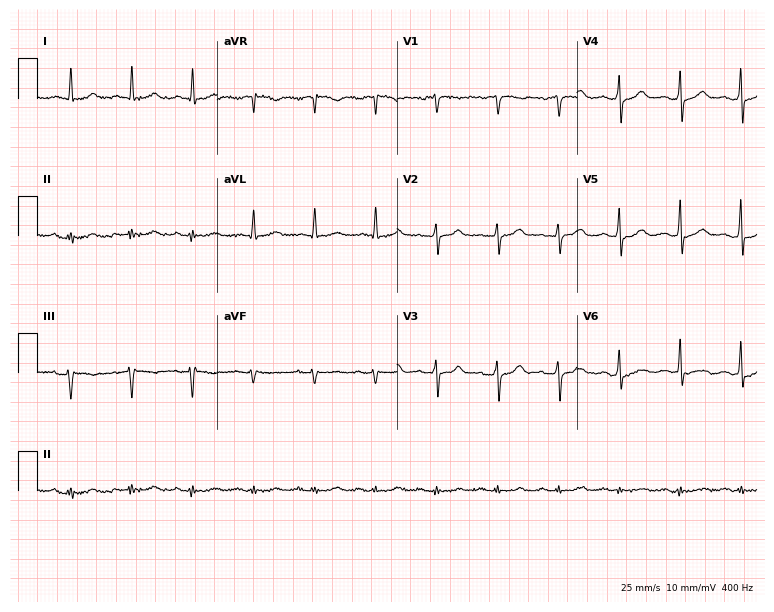
ECG — an 82-year-old male patient. Screened for six findings — first-degree AV block, right bundle branch block, left bundle branch block, sinus bradycardia, atrial fibrillation, sinus tachycardia — none is recorded. Other findings, if any, are not listed.